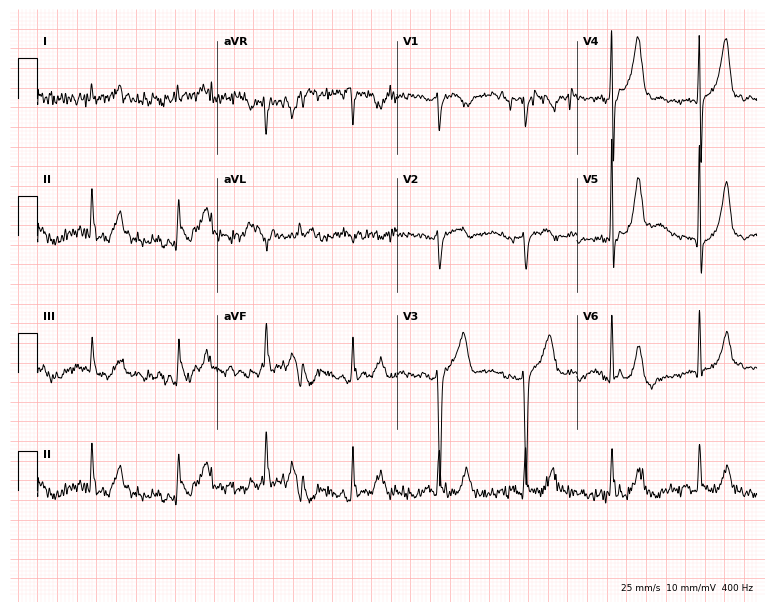
ECG (7.3-second recording at 400 Hz) — a 61-year-old male. Screened for six findings — first-degree AV block, right bundle branch block (RBBB), left bundle branch block (LBBB), sinus bradycardia, atrial fibrillation (AF), sinus tachycardia — none is recorded. Findings outside these six are not listed.